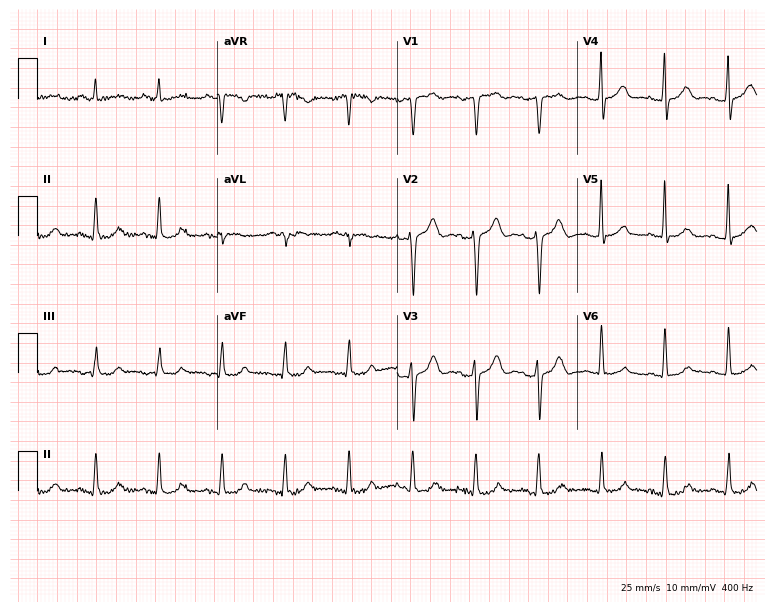
Electrocardiogram, a 58-year-old female patient. Overall reading on record: normal ECG.